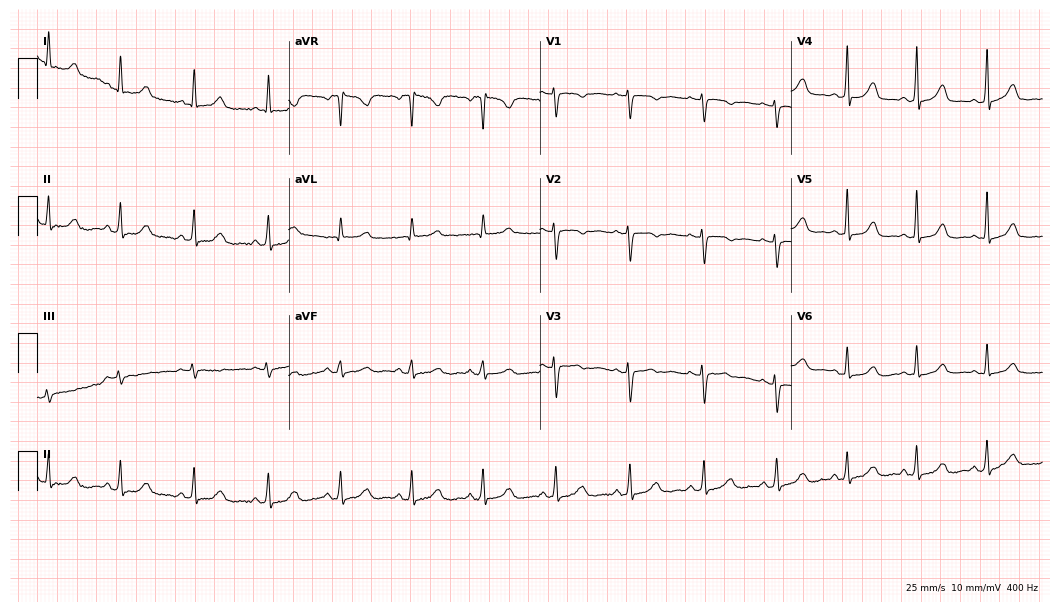
12-lead ECG (10.2-second recording at 400 Hz) from a woman, 45 years old. Screened for six findings — first-degree AV block, right bundle branch block, left bundle branch block, sinus bradycardia, atrial fibrillation, sinus tachycardia — none is recorded. Other findings, if any, are not listed.